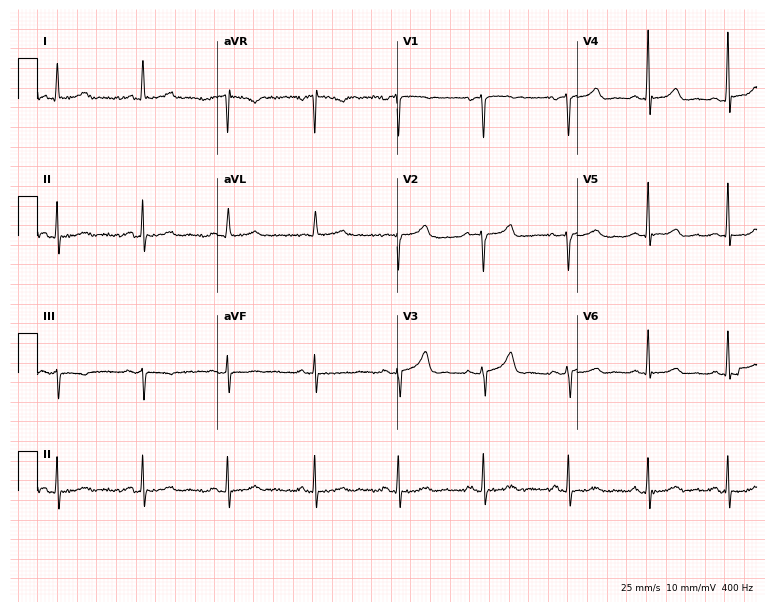
Standard 12-lead ECG recorded from a female, 48 years old (7.3-second recording at 400 Hz). Read as a normal ECG.